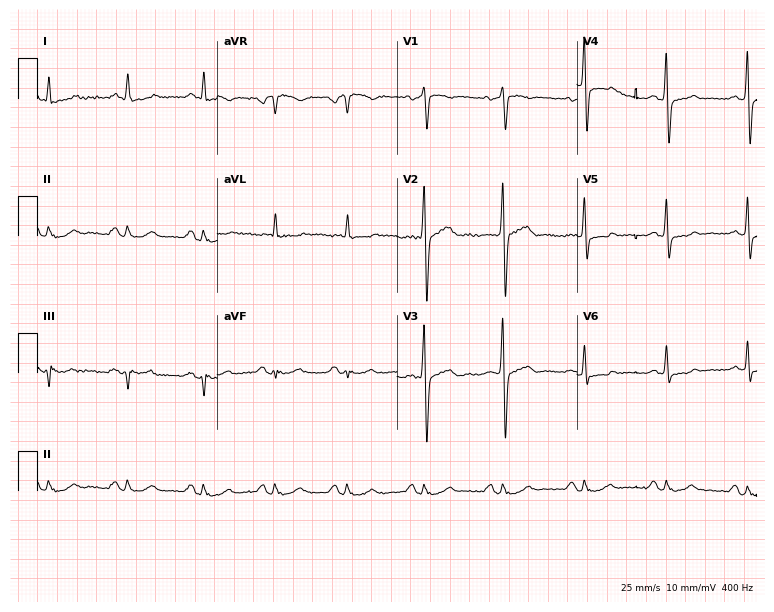
12-lead ECG from a 52-year-old man. No first-degree AV block, right bundle branch block (RBBB), left bundle branch block (LBBB), sinus bradycardia, atrial fibrillation (AF) or sinus tachycardia recorded for this tracing. Findings outside these six are not listed.